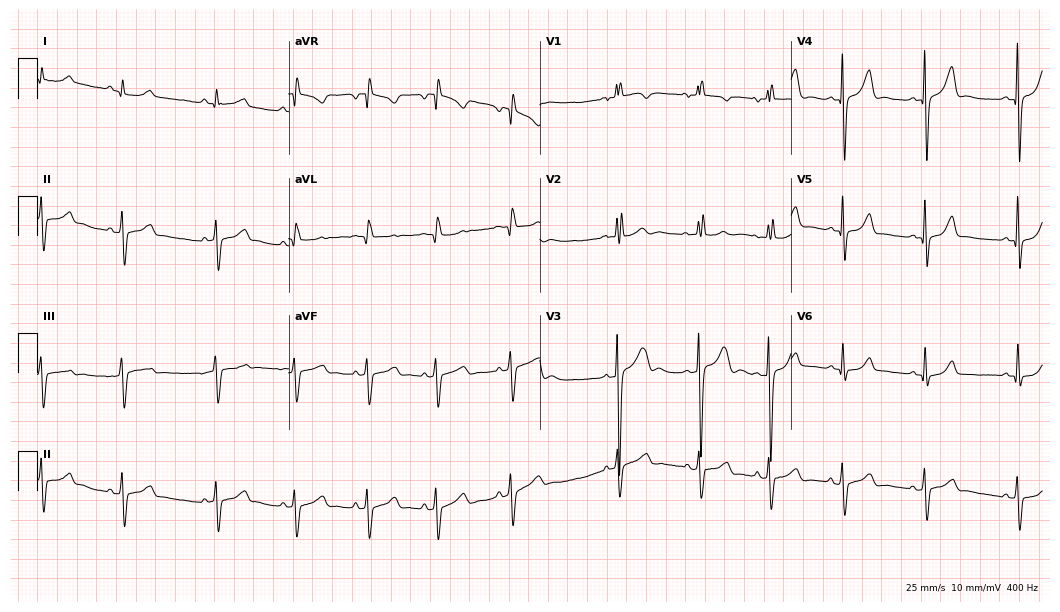
ECG — a 17-year-old male. Screened for six findings — first-degree AV block, right bundle branch block (RBBB), left bundle branch block (LBBB), sinus bradycardia, atrial fibrillation (AF), sinus tachycardia — none is recorded. Only these six findings were labelled.